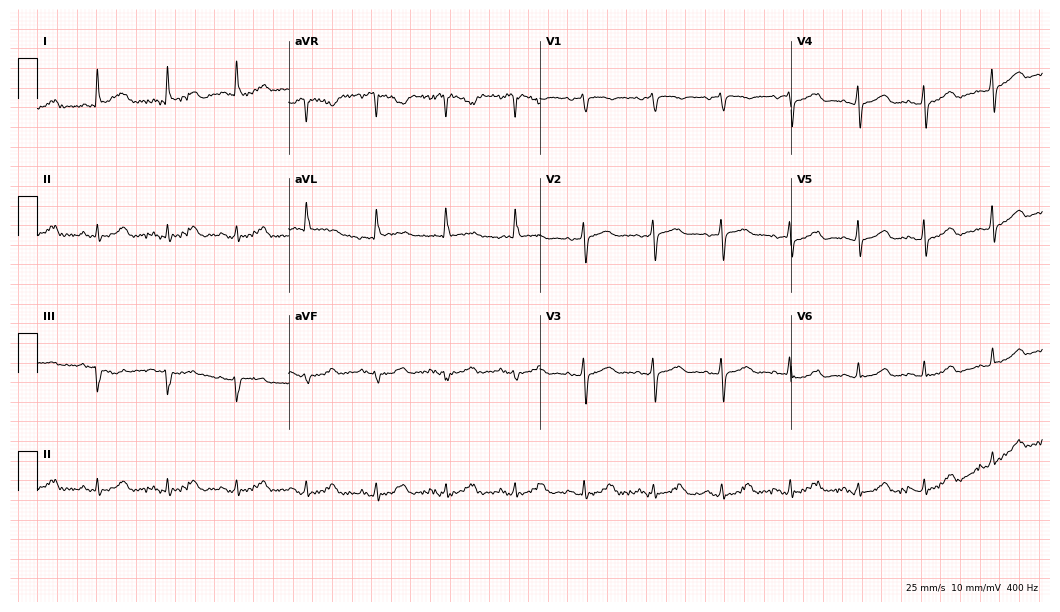
ECG — an 82-year-old female. Labelled as a normal ECG.